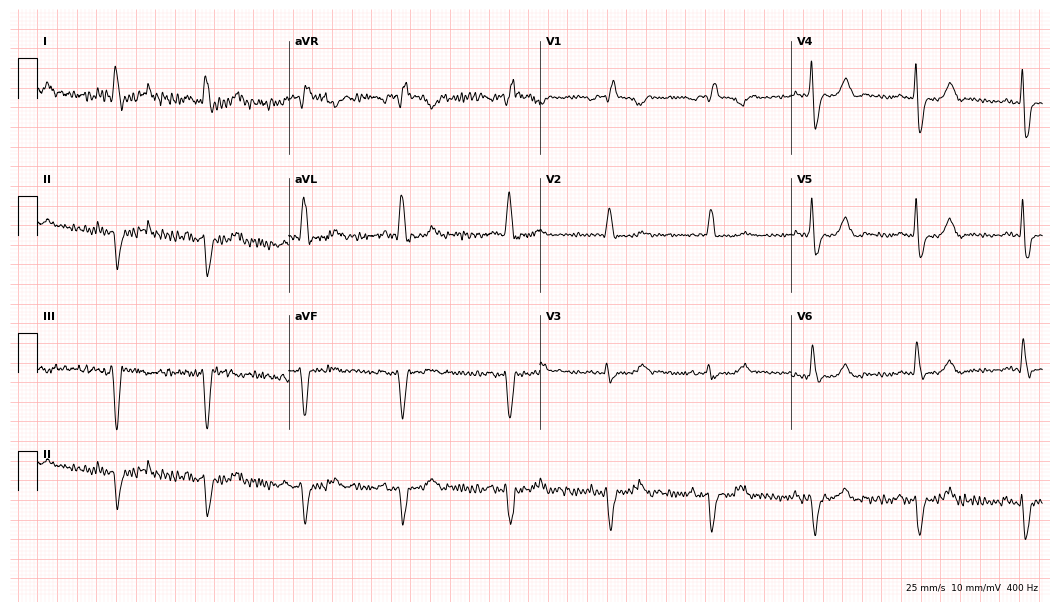
ECG — a male patient, 81 years old. Screened for six findings — first-degree AV block, right bundle branch block, left bundle branch block, sinus bradycardia, atrial fibrillation, sinus tachycardia — none is recorded. Other findings, if any, are not listed.